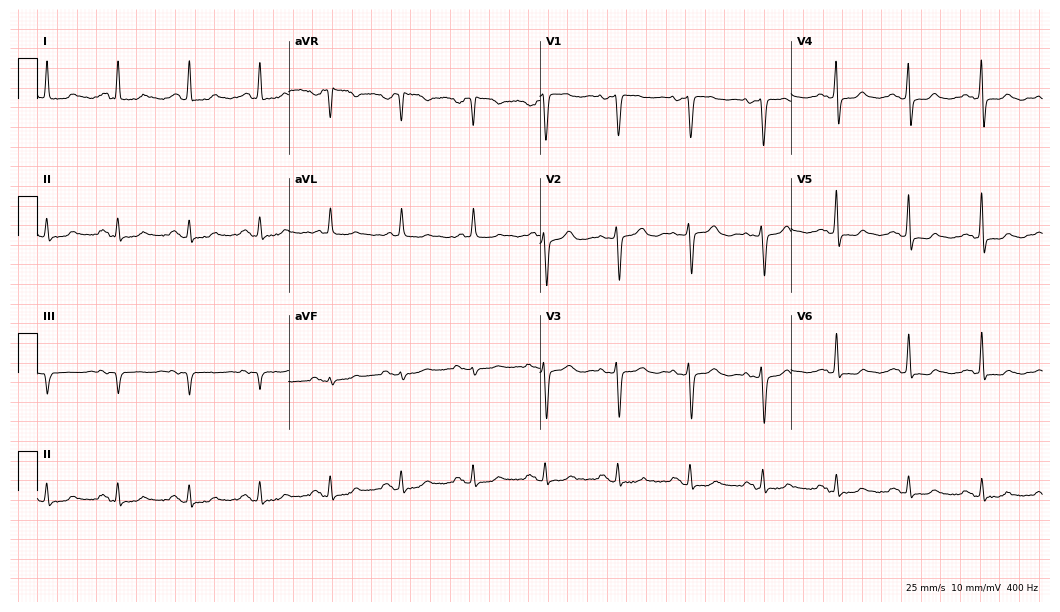
ECG — an 80-year-old woman. Labelled as a normal ECG.